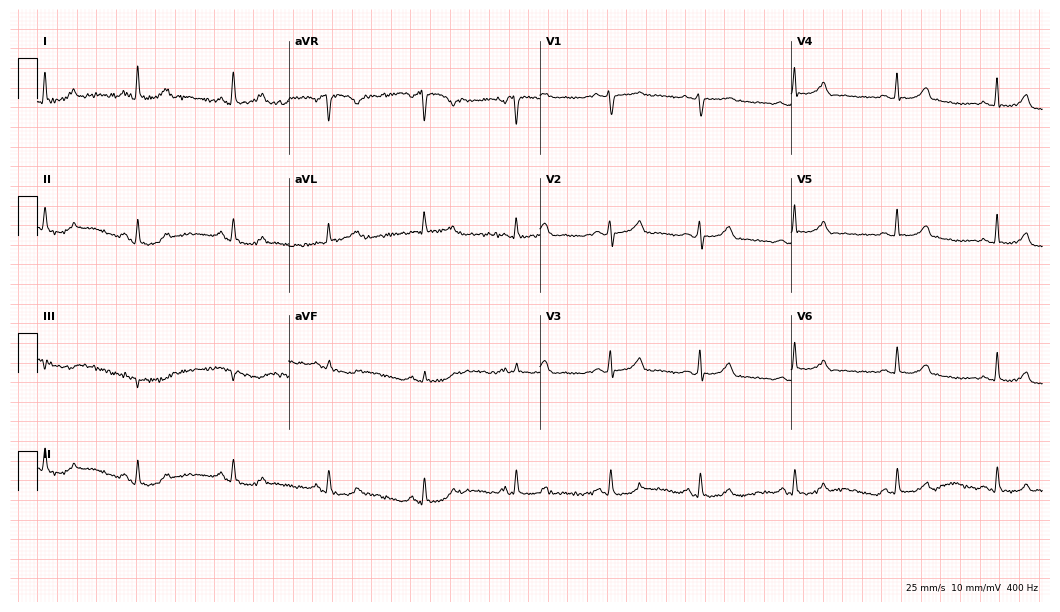
12-lead ECG from a female patient, 49 years old. No first-degree AV block, right bundle branch block, left bundle branch block, sinus bradycardia, atrial fibrillation or sinus tachycardia recorded for this tracing.